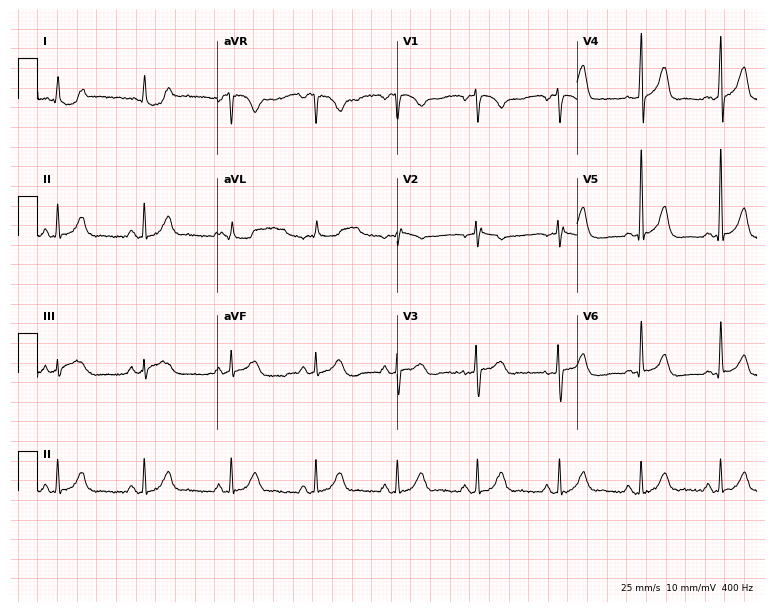
Resting 12-lead electrocardiogram (7.3-second recording at 400 Hz). Patient: a male, 55 years old. None of these six findings is recorded: first-degree AV block, right bundle branch block, left bundle branch block, sinus bradycardia, atrial fibrillation, sinus tachycardia. Other findings, if any, are not listed.